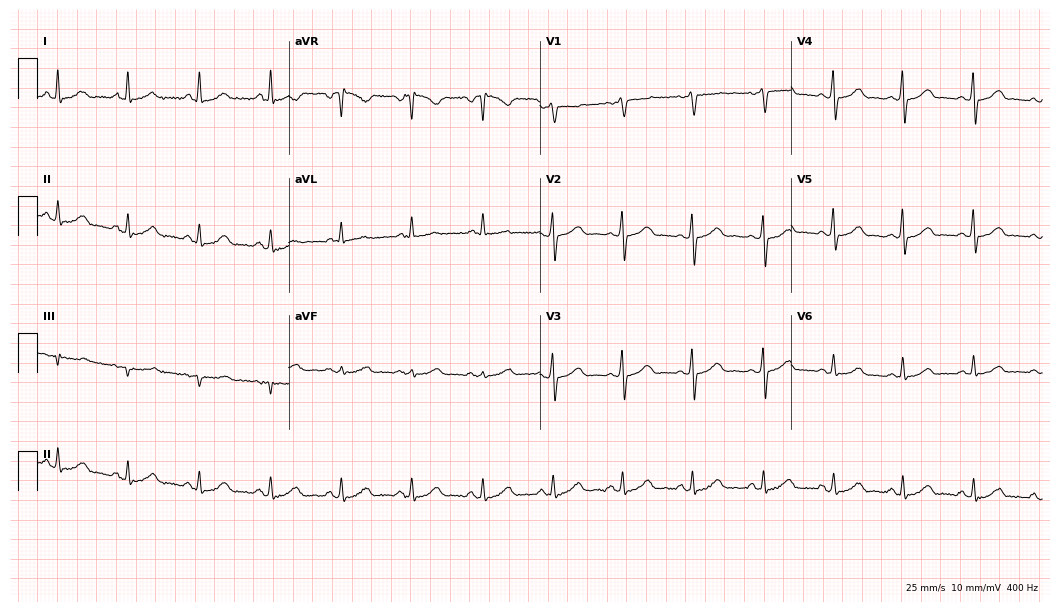
Electrocardiogram, a female patient, 53 years old. Overall reading on record: normal ECG.